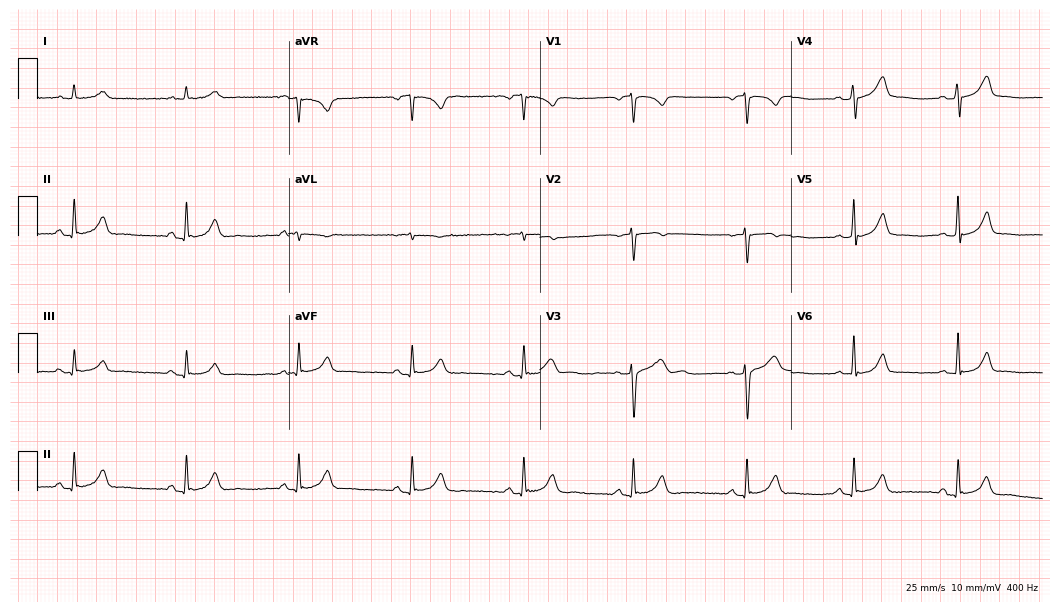
12-lead ECG from a man, 58 years old (10.2-second recording at 400 Hz). Recorded interpretation: within normal limits.